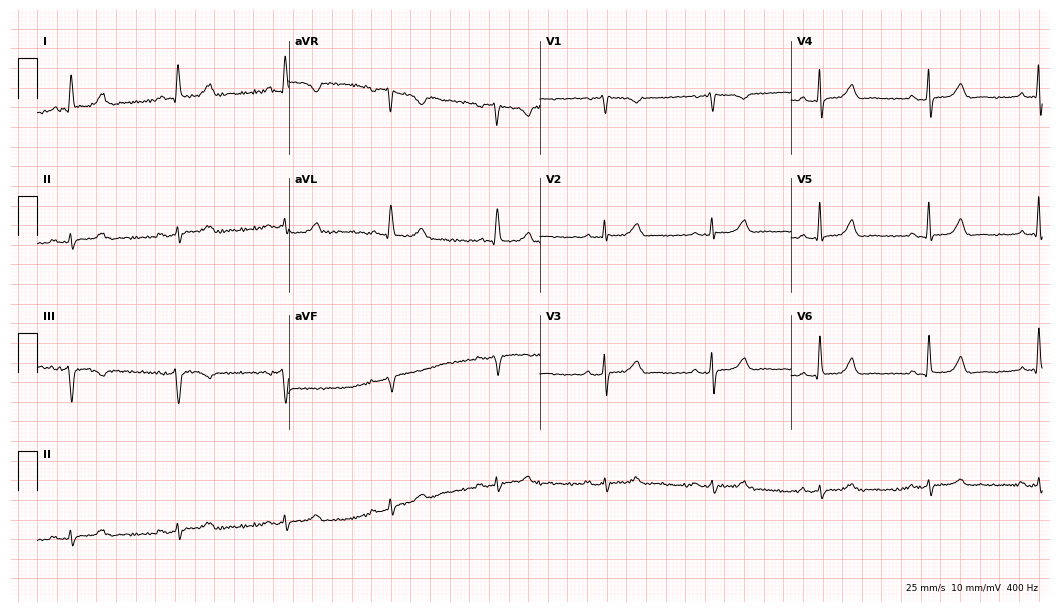
ECG (10.2-second recording at 400 Hz) — a female, 70 years old. Screened for six findings — first-degree AV block, right bundle branch block, left bundle branch block, sinus bradycardia, atrial fibrillation, sinus tachycardia — none is recorded.